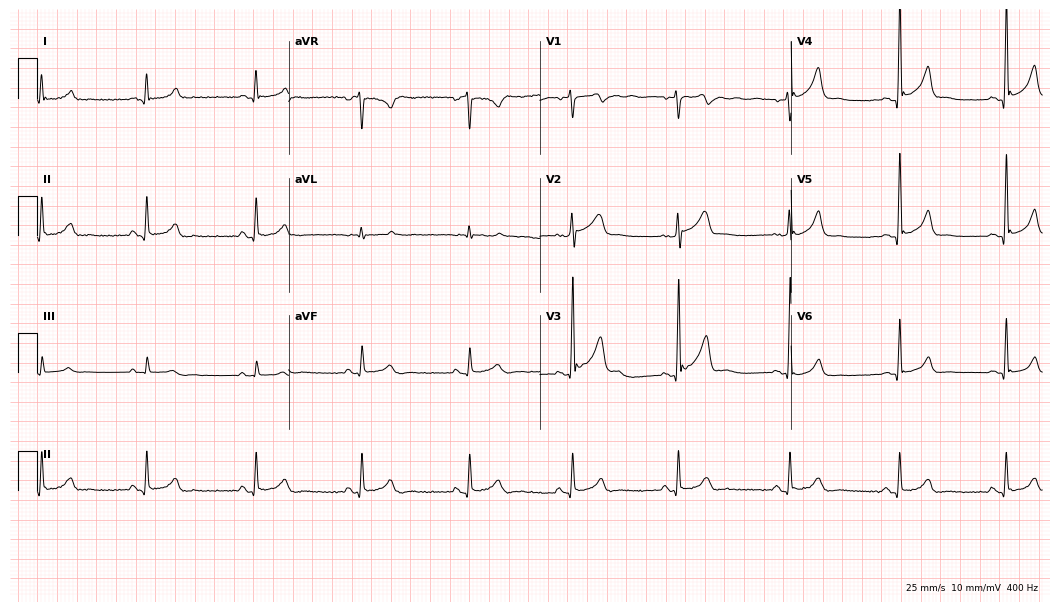
Electrocardiogram, a 44-year-old male patient. Overall reading on record: normal ECG.